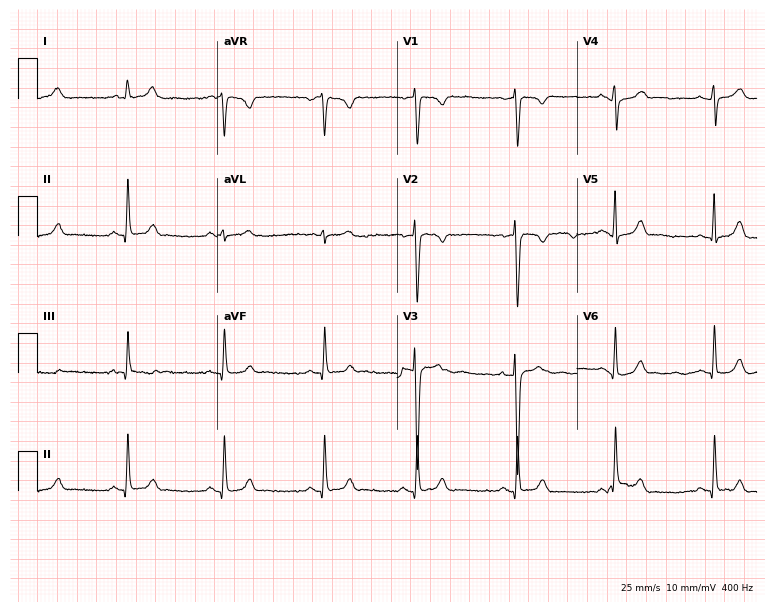
ECG (7.3-second recording at 400 Hz) — a female patient, 27 years old. Screened for six findings — first-degree AV block, right bundle branch block (RBBB), left bundle branch block (LBBB), sinus bradycardia, atrial fibrillation (AF), sinus tachycardia — none is recorded.